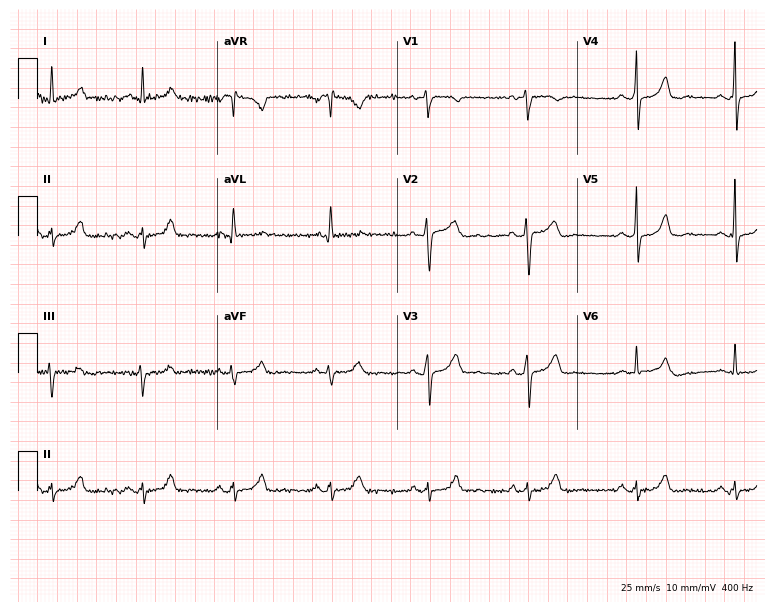
12-lead ECG from a 42-year-old female. No first-degree AV block, right bundle branch block (RBBB), left bundle branch block (LBBB), sinus bradycardia, atrial fibrillation (AF) or sinus tachycardia recorded for this tracing. Only these six findings were labelled.